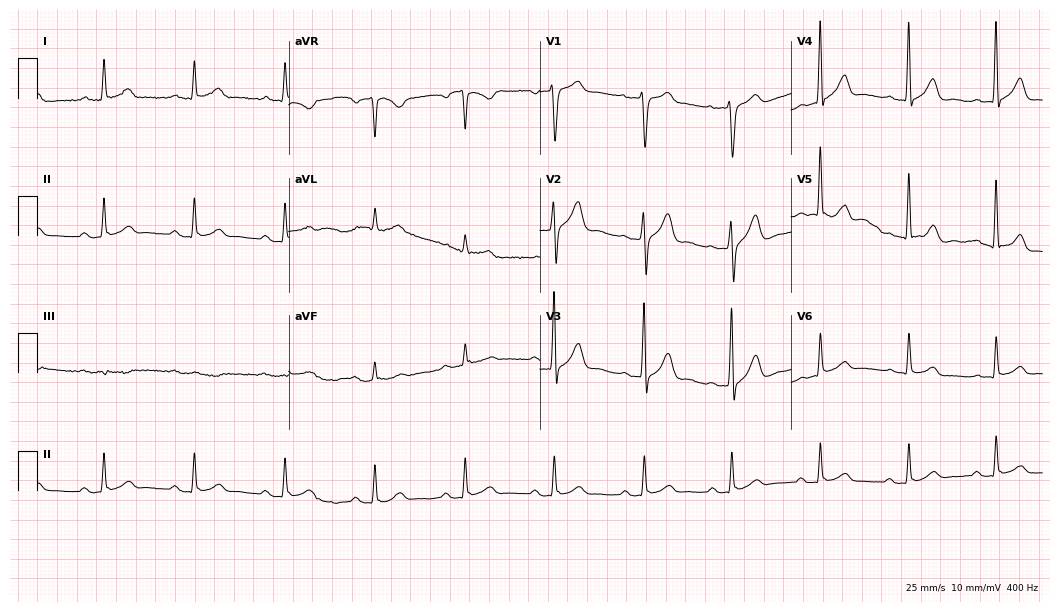
12-lead ECG from a male patient, 67 years old. Recorded interpretation: within normal limits.